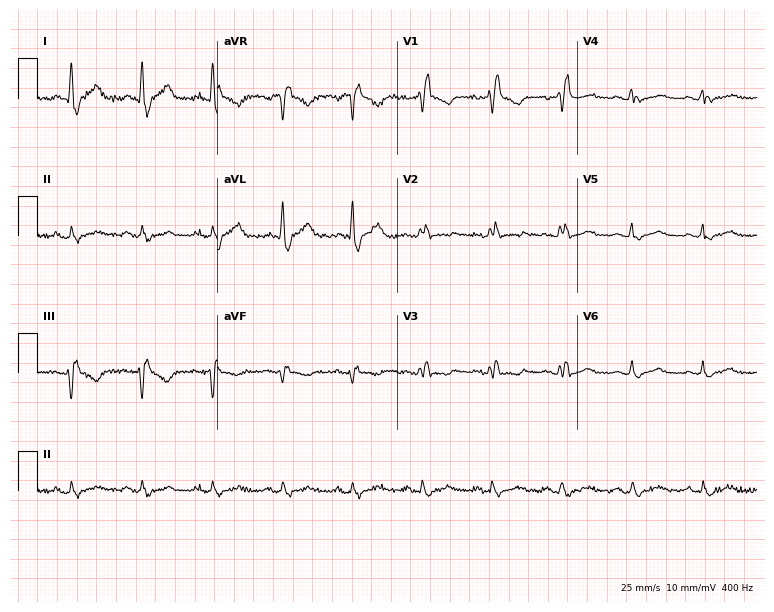
12-lead ECG from a man, 54 years old. Shows right bundle branch block (RBBB).